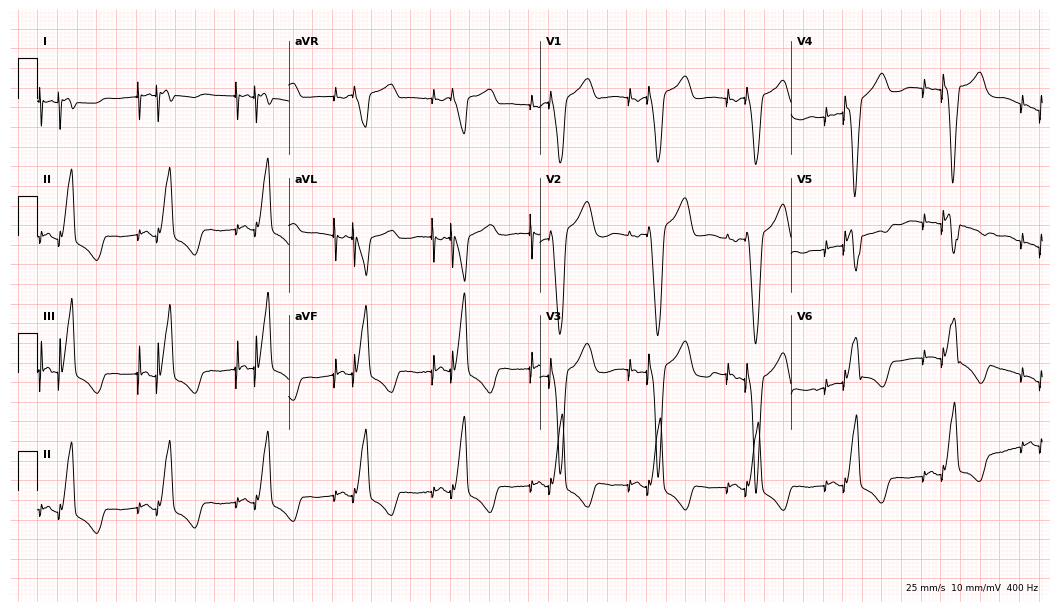
ECG (10.2-second recording at 400 Hz) — a female patient, 76 years old. Screened for six findings — first-degree AV block, right bundle branch block, left bundle branch block, sinus bradycardia, atrial fibrillation, sinus tachycardia — none is recorded.